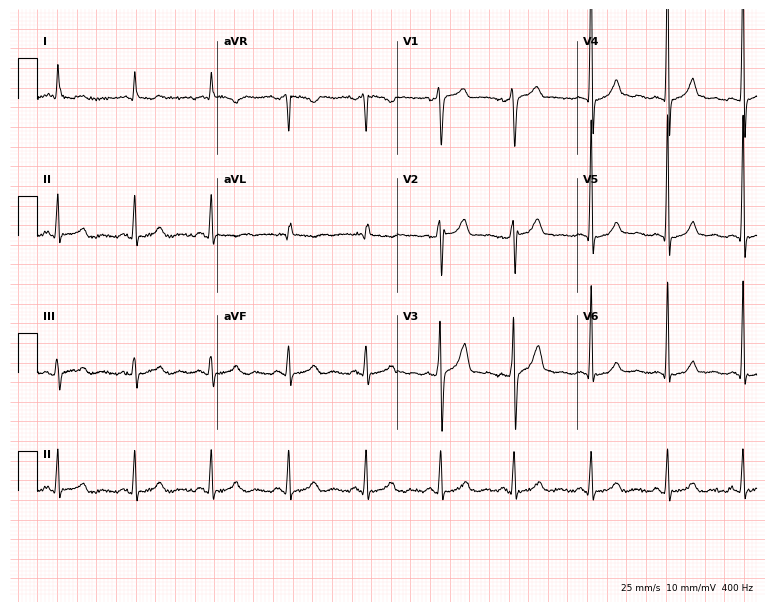
12-lead ECG from a 41-year-old male patient. Recorded interpretation: within normal limits.